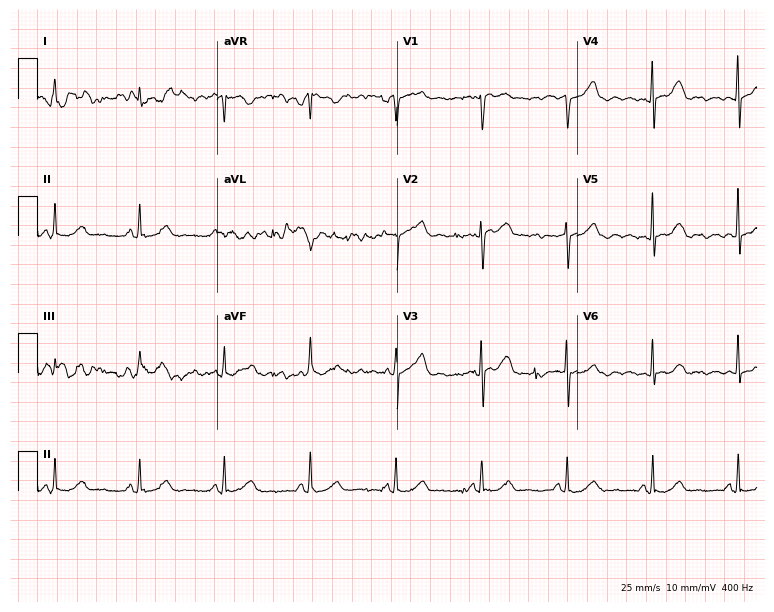
ECG — a 78-year-old male patient. Labelled as a normal ECG.